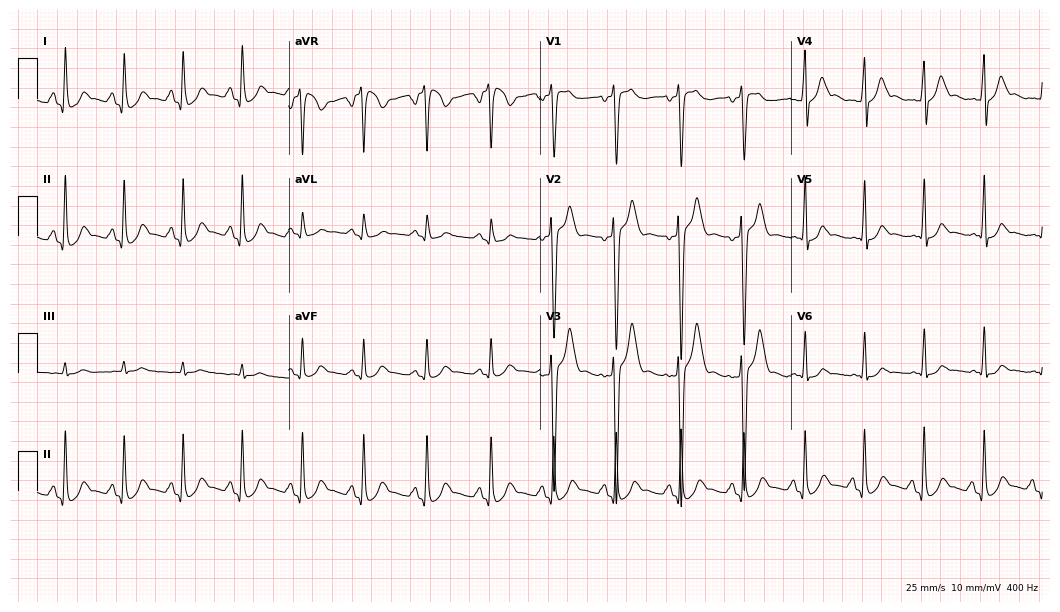
Electrocardiogram (10.2-second recording at 400 Hz), a male patient, 20 years old. Overall reading on record: normal ECG.